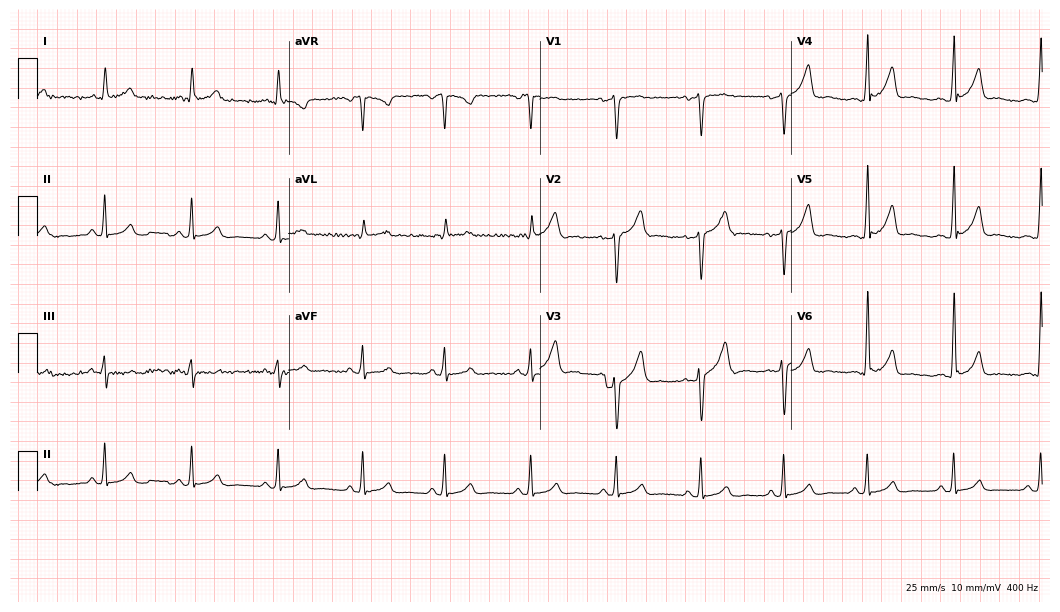
Standard 12-lead ECG recorded from a male, 46 years old. Read as a normal ECG.